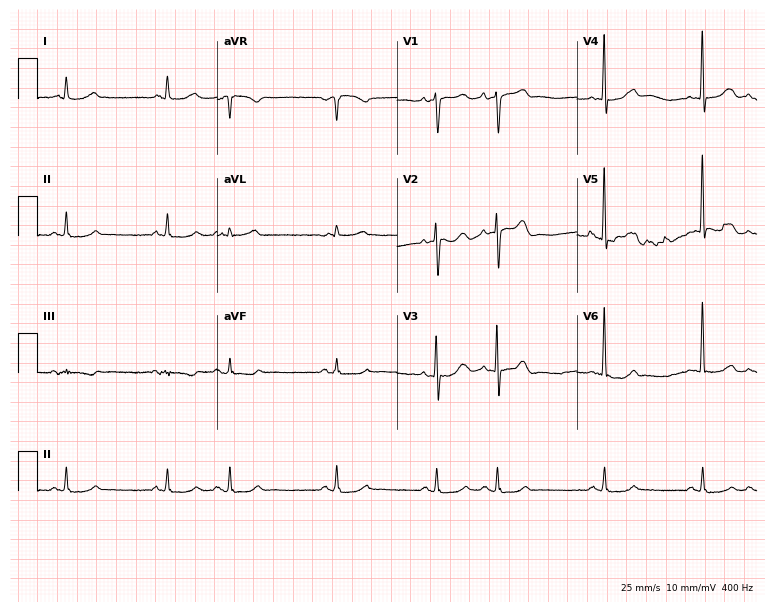
Electrocardiogram (7.3-second recording at 400 Hz), a female patient, 75 years old. Of the six screened findings (first-degree AV block, right bundle branch block (RBBB), left bundle branch block (LBBB), sinus bradycardia, atrial fibrillation (AF), sinus tachycardia), none is recorded. Findings outside these six are not listed.